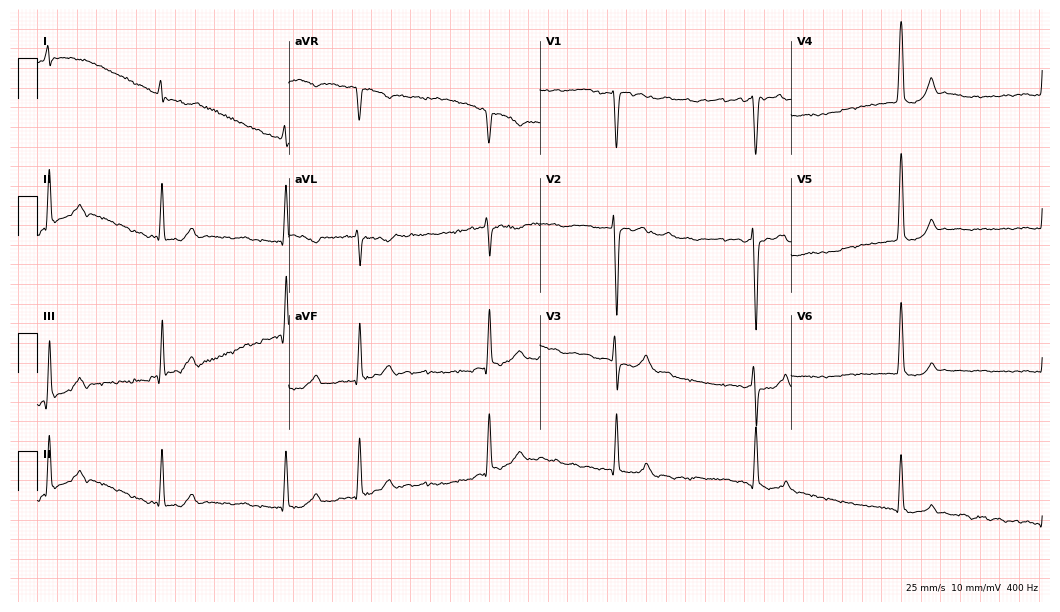
12-lead ECG from a 40-year-old male patient (10.2-second recording at 400 Hz). No first-degree AV block, right bundle branch block, left bundle branch block, sinus bradycardia, atrial fibrillation or sinus tachycardia recorded for this tracing. Findings outside these six are not listed.